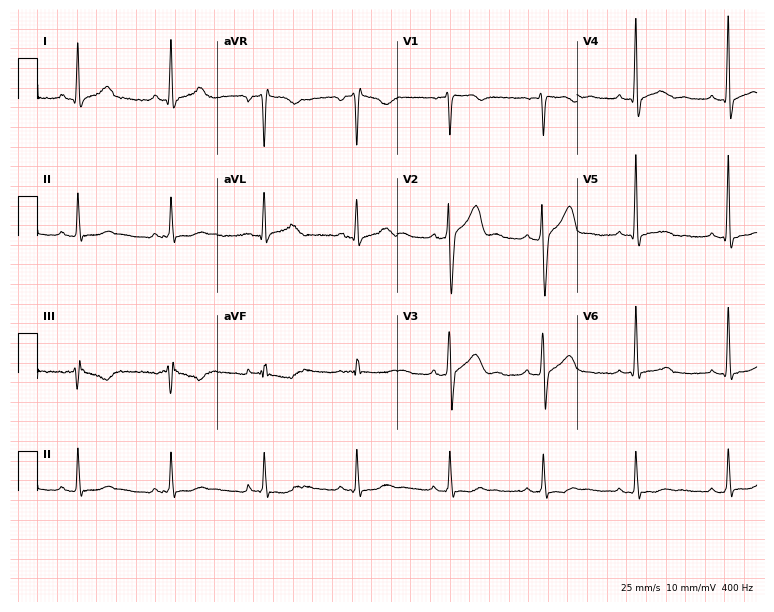
12-lead ECG from a 49-year-old man. No first-degree AV block, right bundle branch block, left bundle branch block, sinus bradycardia, atrial fibrillation or sinus tachycardia recorded for this tracing. Only these six findings were labelled.